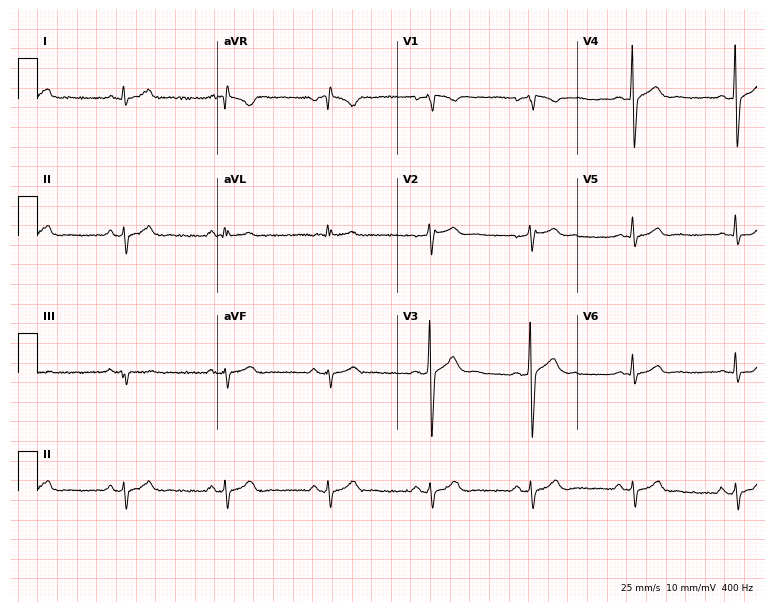
12-lead ECG (7.3-second recording at 400 Hz) from a male patient, 46 years old. Screened for six findings — first-degree AV block, right bundle branch block, left bundle branch block, sinus bradycardia, atrial fibrillation, sinus tachycardia — none is recorded. Other findings, if any, are not listed.